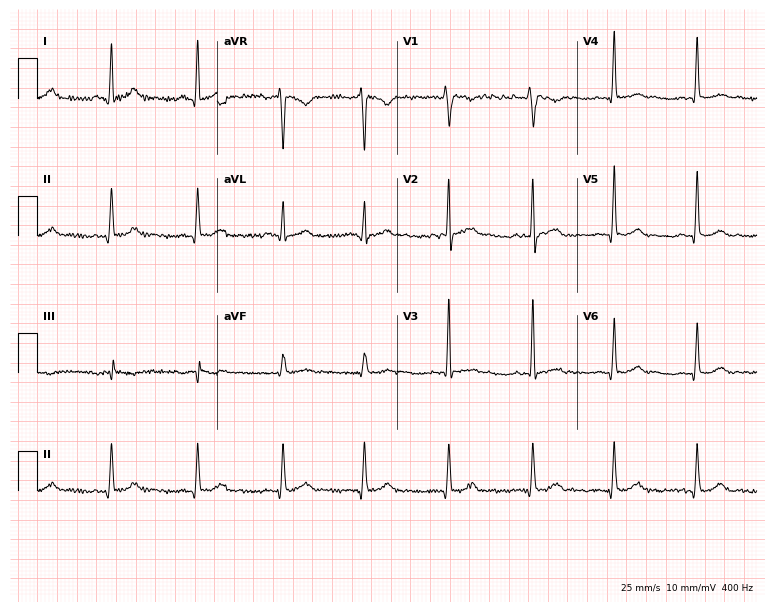
Standard 12-lead ECG recorded from a 25-year-old male (7.3-second recording at 400 Hz). Read as a normal ECG.